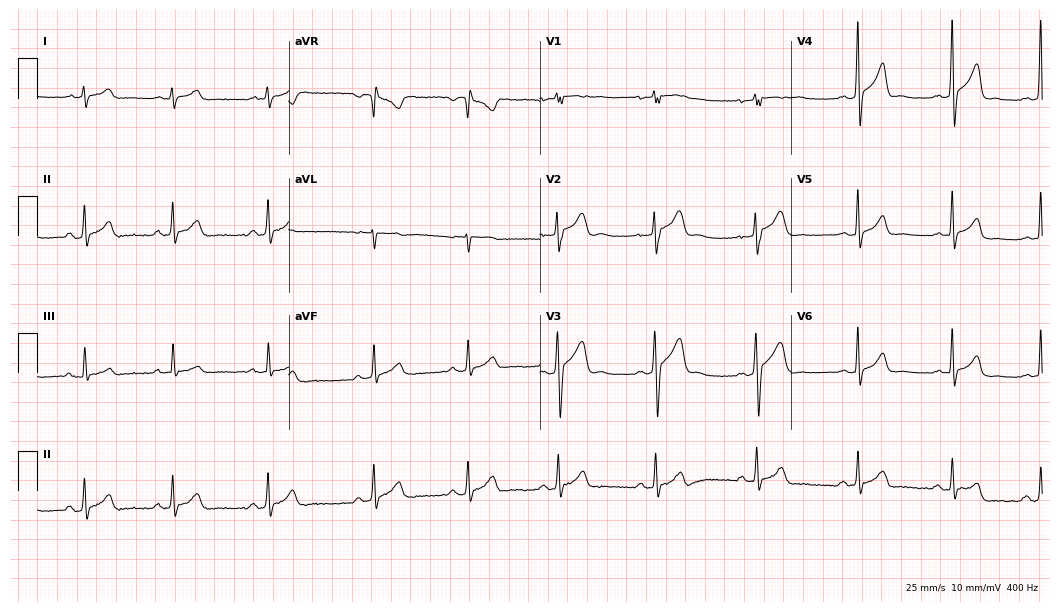
ECG (10.2-second recording at 400 Hz) — a male, 24 years old. Labelled as a normal ECG.